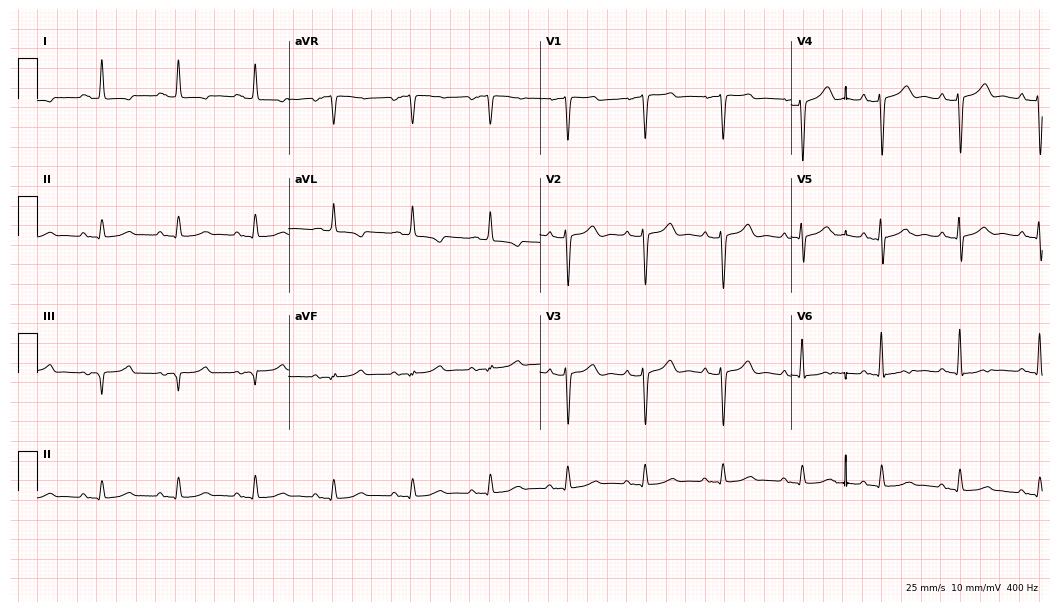
12-lead ECG from a 75-year-old female patient. Screened for six findings — first-degree AV block, right bundle branch block (RBBB), left bundle branch block (LBBB), sinus bradycardia, atrial fibrillation (AF), sinus tachycardia — none is recorded. Other findings, if any, are not listed.